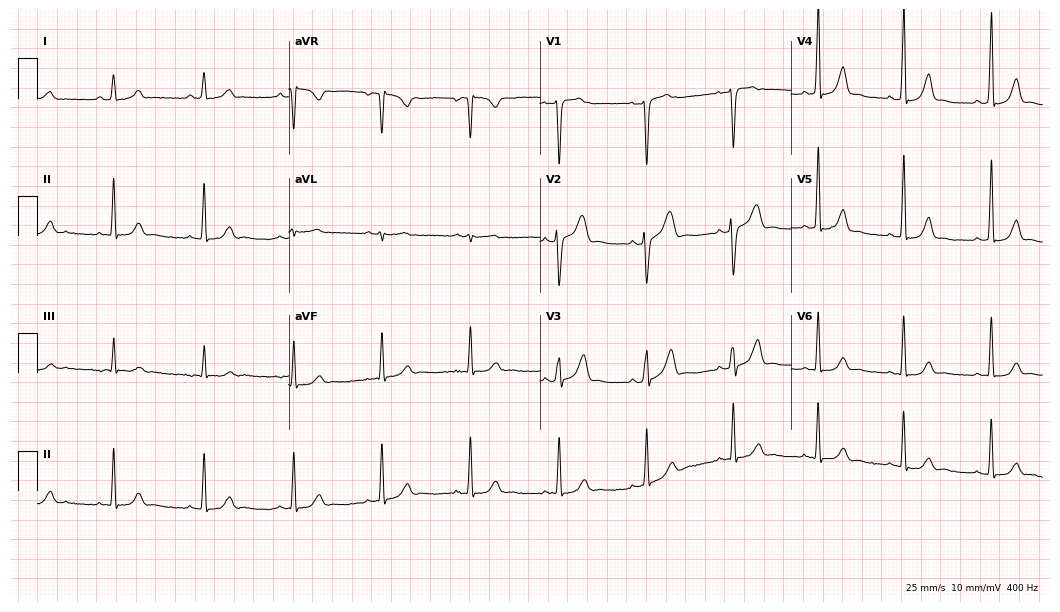
Resting 12-lead electrocardiogram. Patient: a female, 34 years old. None of these six findings is recorded: first-degree AV block, right bundle branch block, left bundle branch block, sinus bradycardia, atrial fibrillation, sinus tachycardia. Other findings, if any, are not listed.